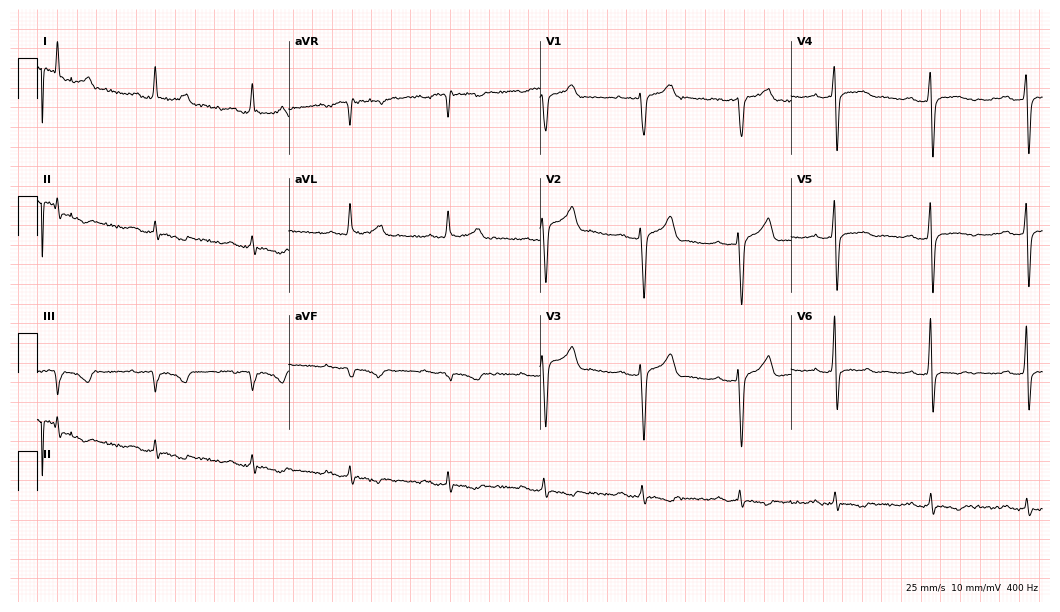
Standard 12-lead ECG recorded from a male, 44 years old (10.2-second recording at 400 Hz). None of these six findings is recorded: first-degree AV block, right bundle branch block, left bundle branch block, sinus bradycardia, atrial fibrillation, sinus tachycardia. Only these six findings were labelled.